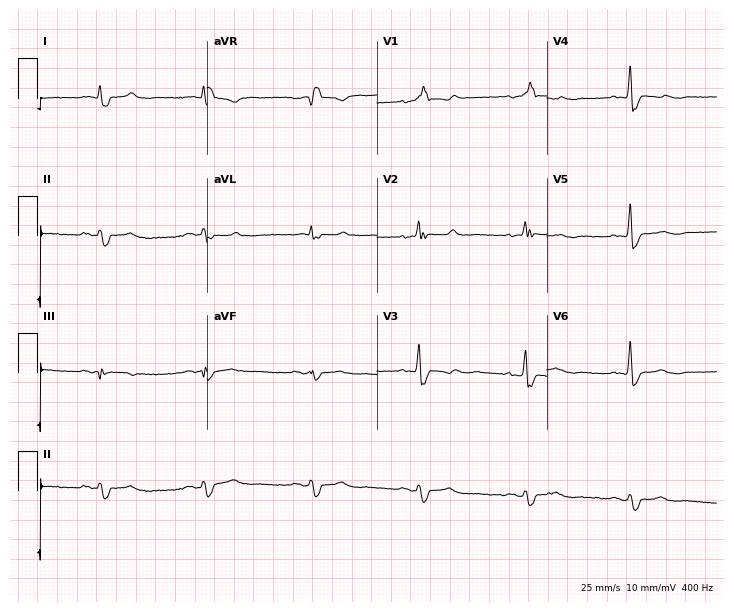
12-lead ECG from a male patient, 71 years old (6.9-second recording at 400 Hz). No first-degree AV block, right bundle branch block (RBBB), left bundle branch block (LBBB), sinus bradycardia, atrial fibrillation (AF) or sinus tachycardia recorded for this tracing. Findings outside these six are not listed.